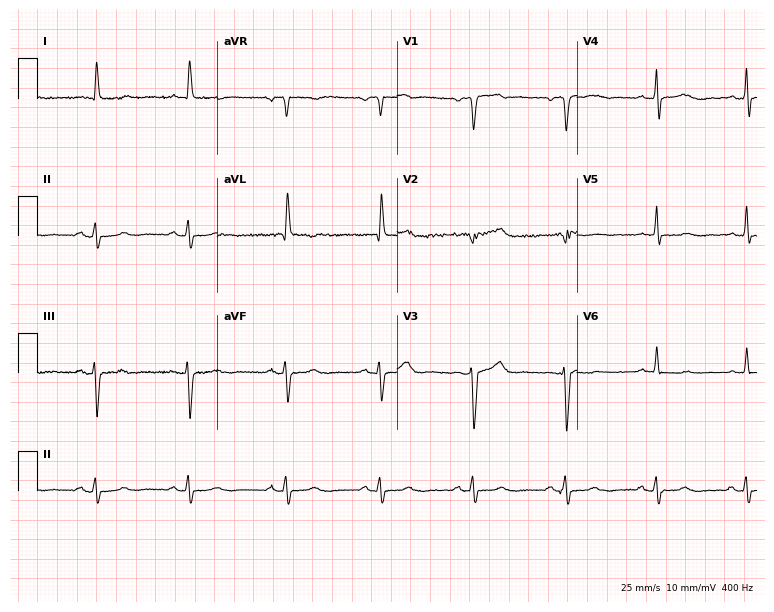
12-lead ECG from an 83-year-old man. Screened for six findings — first-degree AV block, right bundle branch block, left bundle branch block, sinus bradycardia, atrial fibrillation, sinus tachycardia — none is recorded.